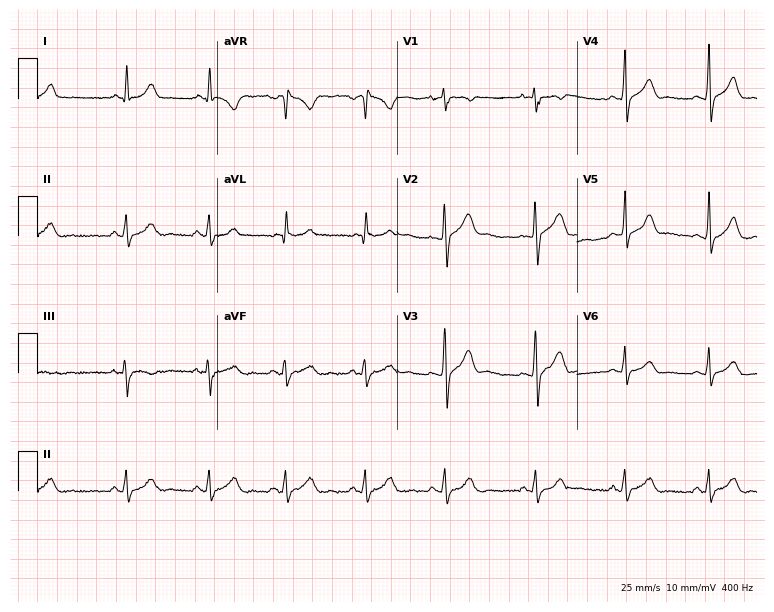
12-lead ECG (7.3-second recording at 400 Hz) from a male, 29 years old. Screened for six findings — first-degree AV block, right bundle branch block, left bundle branch block, sinus bradycardia, atrial fibrillation, sinus tachycardia — none is recorded. Only these six findings were labelled.